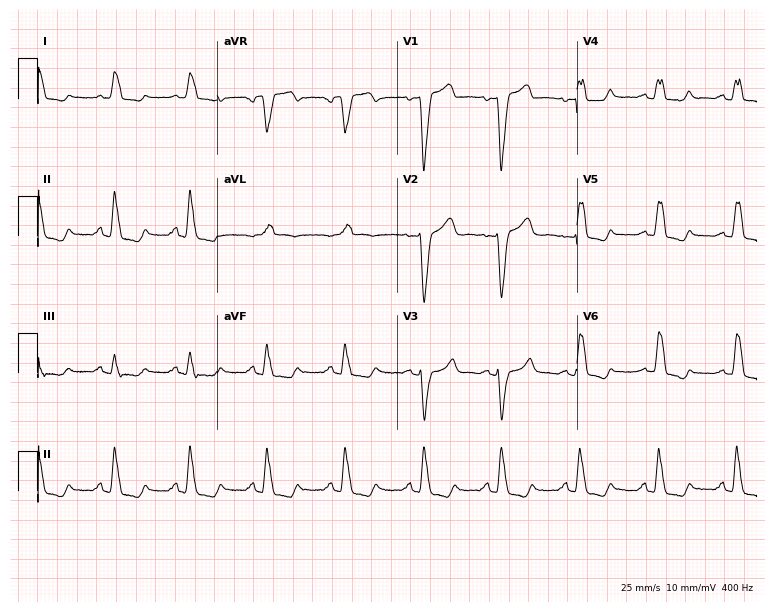
ECG — a female, 65 years old. Findings include left bundle branch block (LBBB).